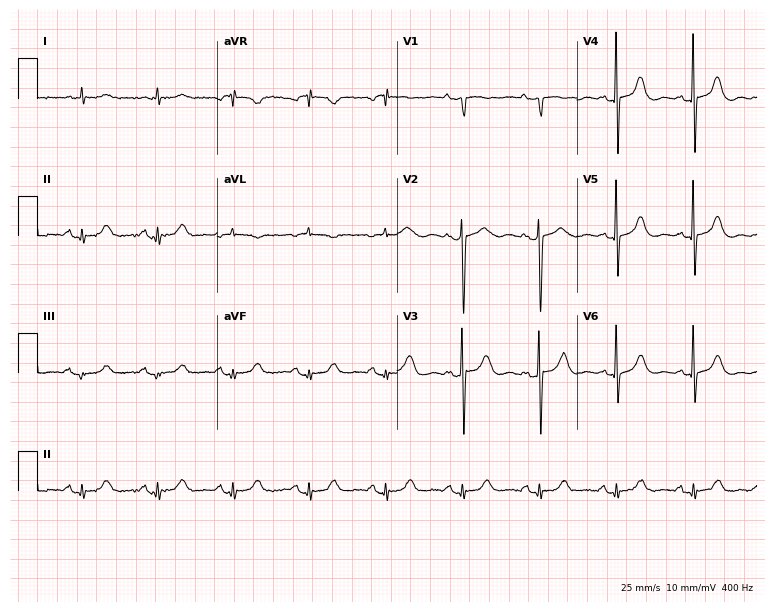
ECG (7.3-second recording at 400 Hz) — an 84-year-old woman. Screened for six findings — first-degree AV block, right bundle branch block, left bundle branch block, sinus bradycardia, atrial fibrillation, sinus tachycardia — none is recorded.